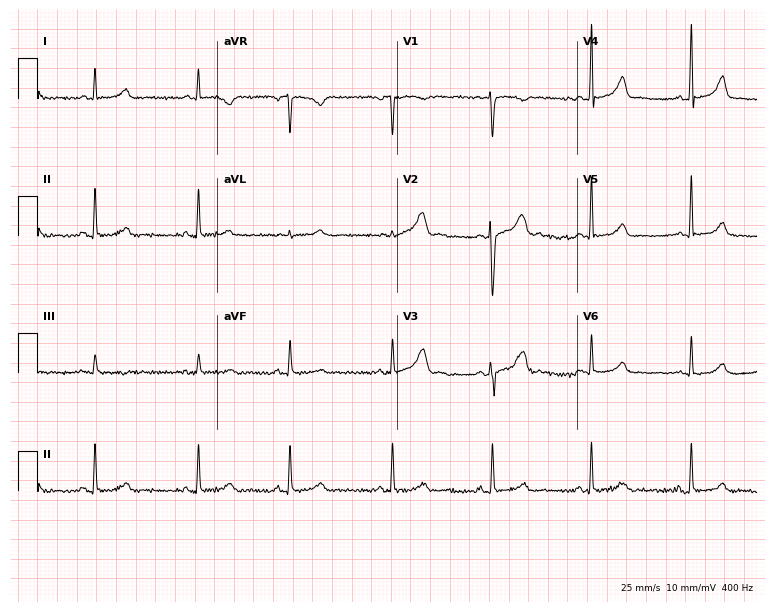
Electrocardiogram, a woman, 28 years old. Overall reading on record: normal ECG.